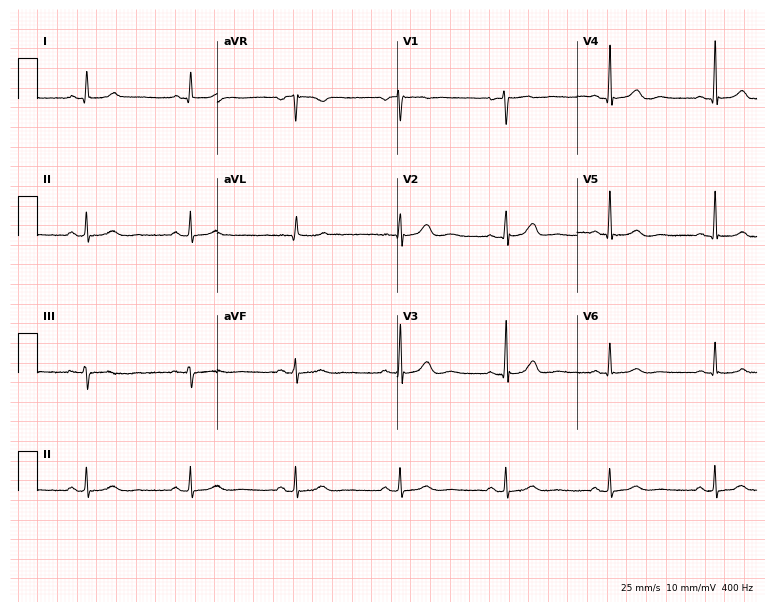
12-lead ECG from a female patient, 64 years old. Labelled as a normal ECG.